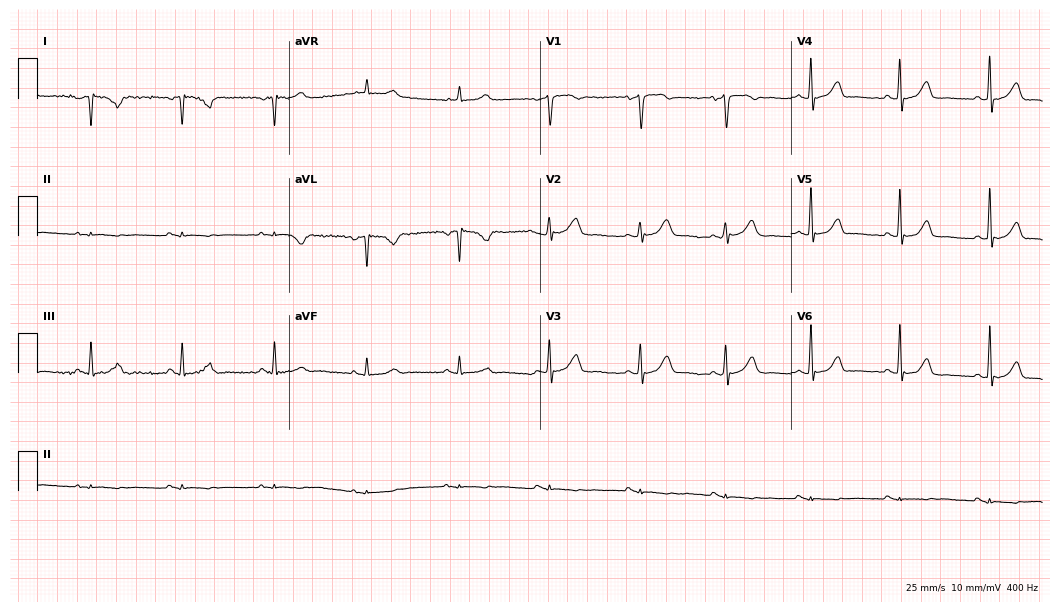
ECG (10.2-second recording at 400 Hz) — a female patient, 69 years old. Screened for six findings — first-degree AV block, right bundle branch block, left bundle branch block, sinus bradycardia, atrial fibrillation, sinus tachycardia — none is recorded.